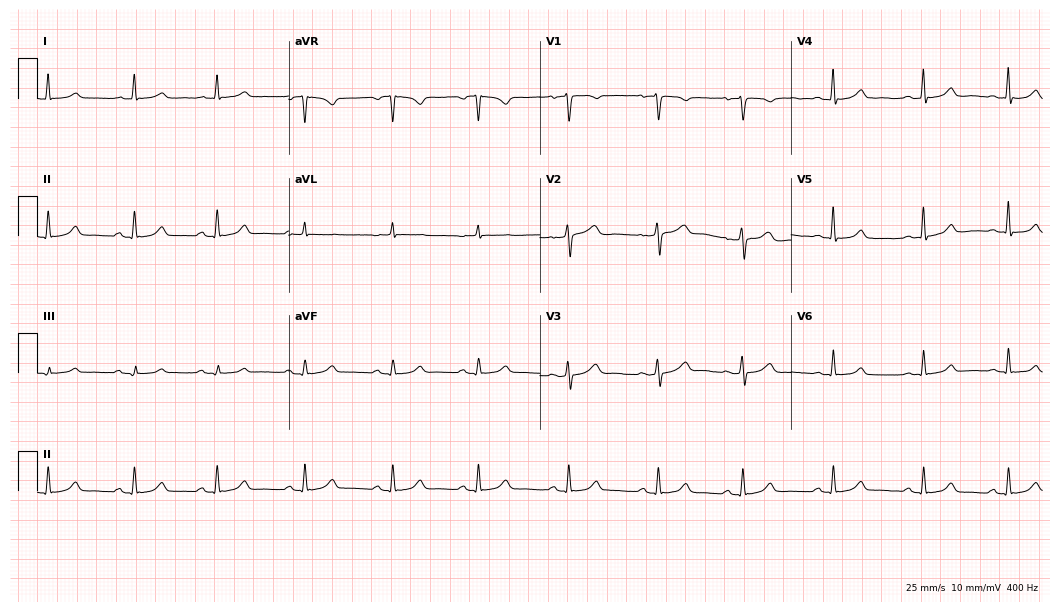
12-lead ECG from a 31-year-old female patient. Recorded interpretation: within normal limits.